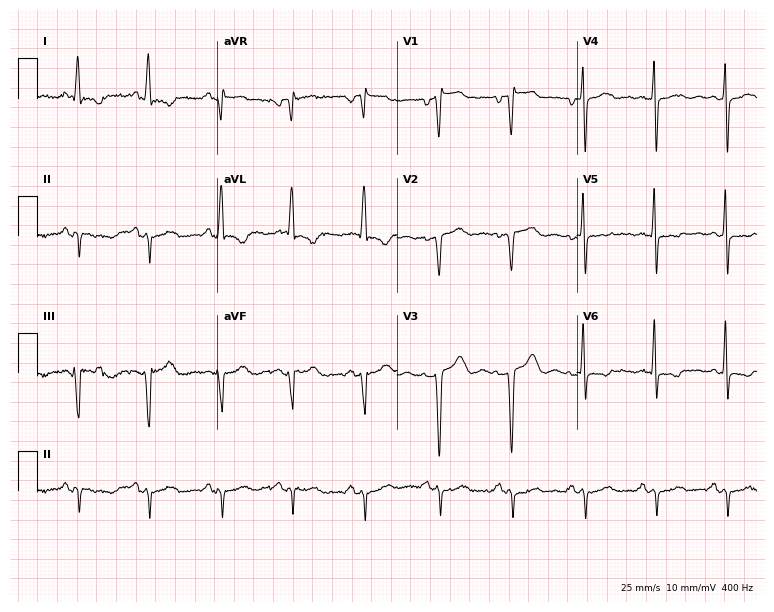
Resting 12-lead electrocardiogram. Patient: a 45-year-old woman. None of these six findings is recorded: first-degree AV block, right bundle branch block, left bundle branch block, sinus bradycardia, atrial fibrillation, sinus tachycardia. Only these six findings were labelled.